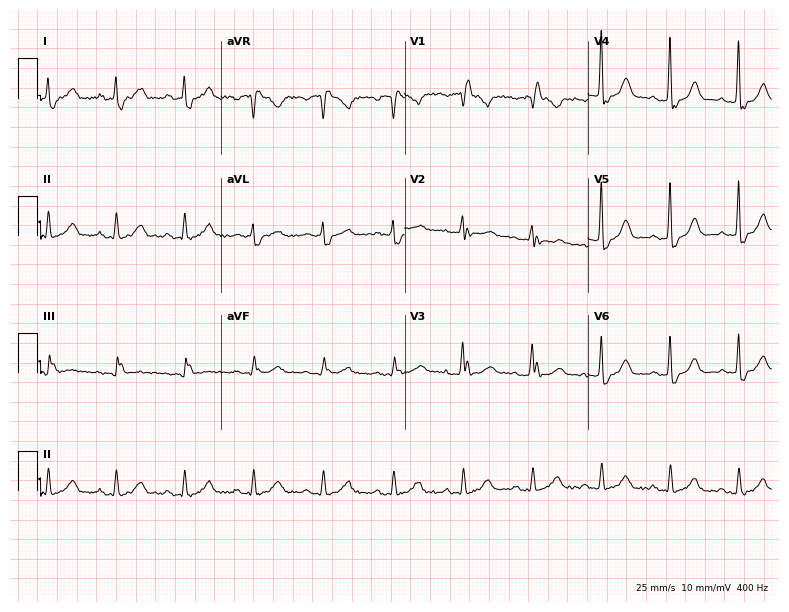
ECG — a male patient, 67 years old. Findings include right bundle branch block (RBBB).